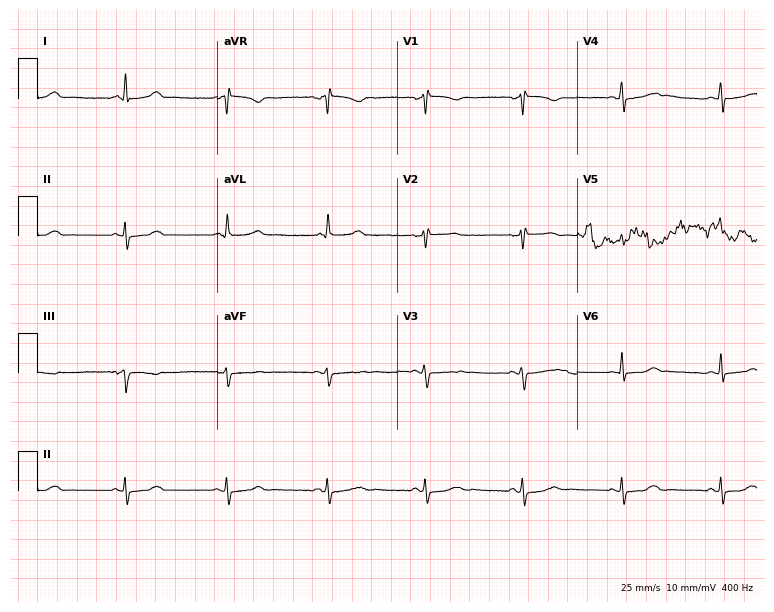
Resting 12-lead electrocardiogram. Patient: a woman, 42 years old. None of these six findings is recorded: first-degree AV block, right bundle branch block (RBBB), left bundle branch block (LBBB), sinus bradycardia, atrial fibrillation (AF), sinus tachycardia.